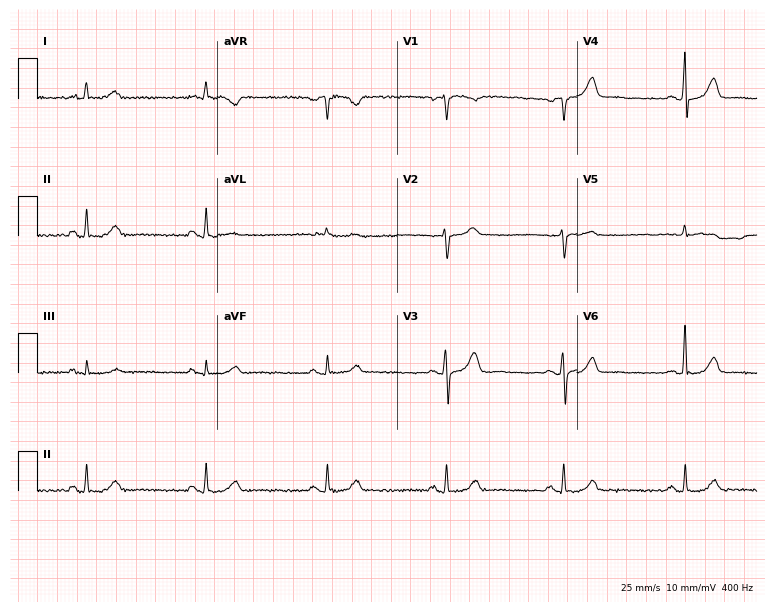
Electrocardiogram (7.3-second recording at 400 Hz), a 72-year-old male. Of the six screened findings (first-degree AV block, right bundle branch block, left bundle branch block, sinus bradycardia, atrial fibrillation, sinus tachycardia), none is recorded. Other findings, if any, are not listed.